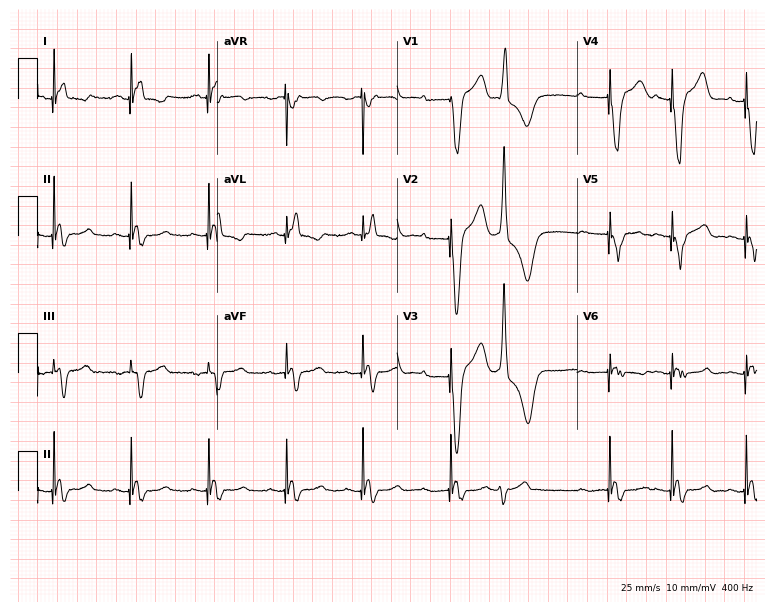
ECG (7.3-second recording at 400 Hz) — a female, 74 years old. Screened for six findings — first-degree AV block, right bundle branch block, left bundle branch block, sinus bradycardia, atrial fibrillation, sinus tachycardia — none is recorded. Other findings, if any, are not listed.